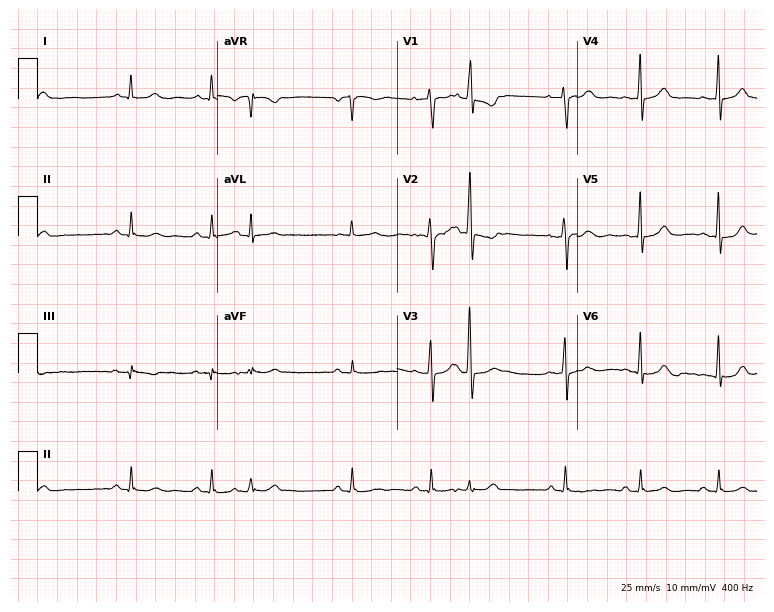
12-lead ECG (7.3-second recording at 400 Hz) from a 59-year-old woman. Screened for six findings — first-degree AV block, right bundle branch block, left bundle branch block, sinus bradycardia, atrial fibrillation, sinus tachycardia — none is recorded.